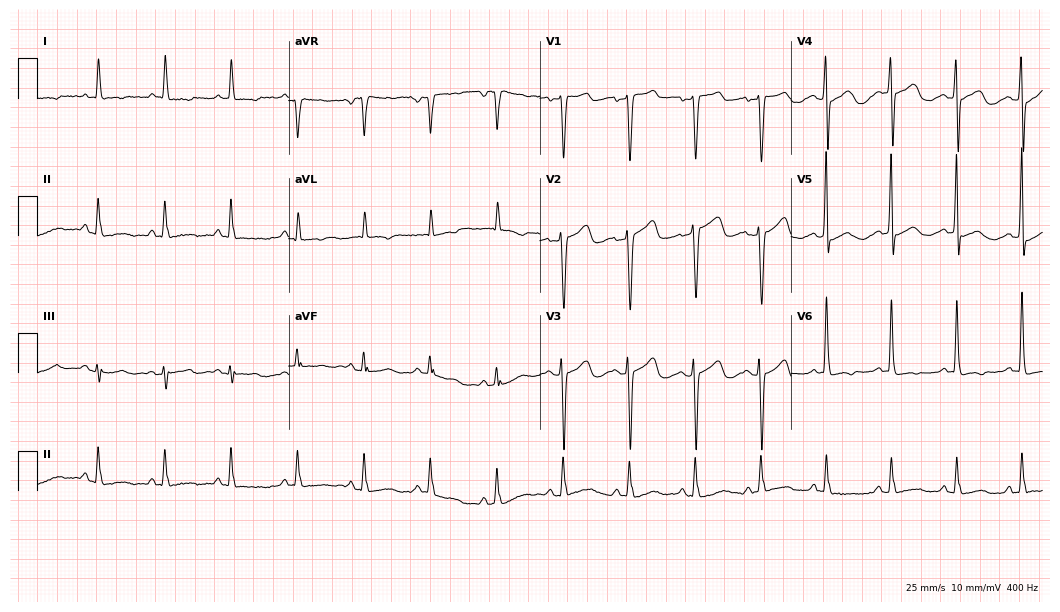
12-lead ECG (10.2-second recording at 400 Hz) from a female patient, 59 years old. Screened for six findings — first-degree AV block, right bundle branch block (RBBB), left bundle branch block (LBBB), sinus bradycardia, atrial fibrillation (AF), sinus tachycardia — none is recorded.